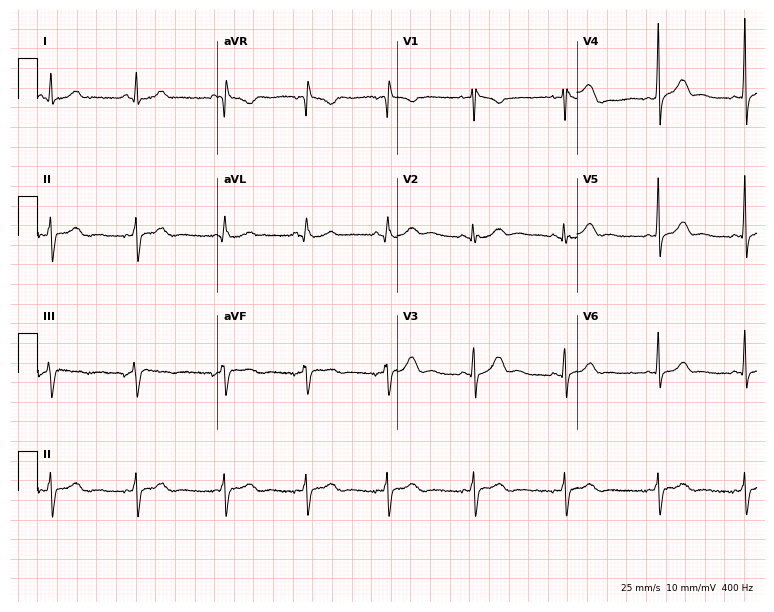
Electrocardiogram, a woman, 25 years old. Of the six screened findings (first-degree AV block, right bundle branch block (RBBB), left bundle branch block (LBBB), sinus bradycardia, atrial fibrillation (AF), sinus tachycardia), none is recorded.